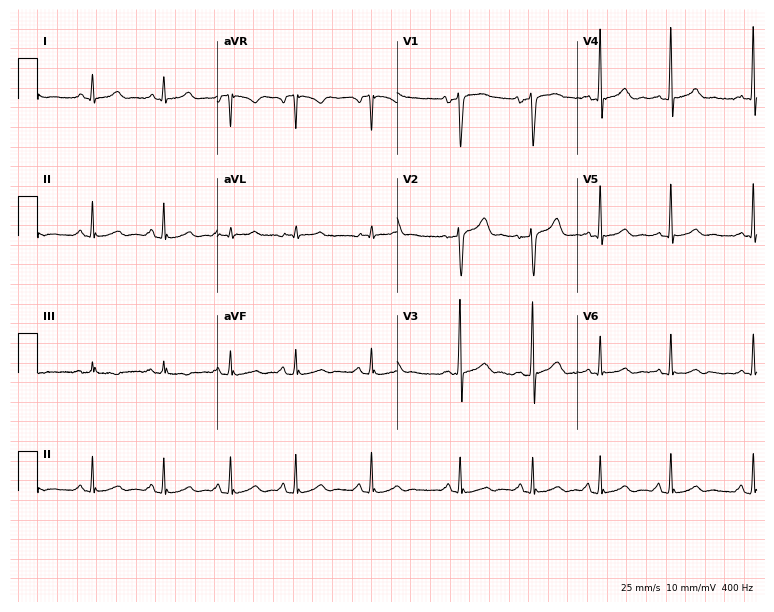
Electrocardiogram (7.3-second recording at 400 Hz), a man, 21 years old. Overall reading on record: normal ECG.